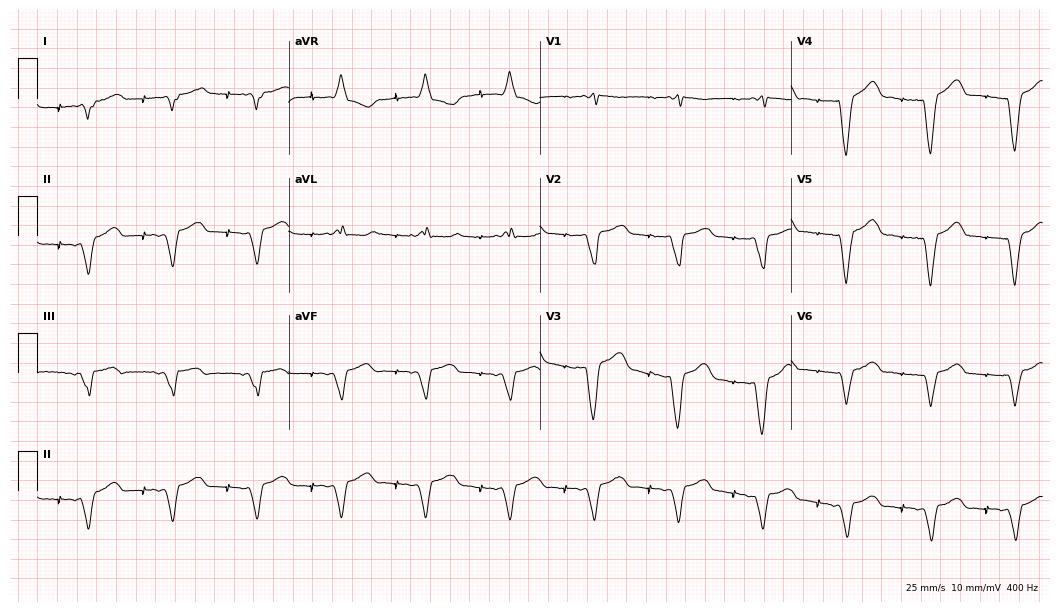
Standard 12-lead ECG recorded from a 78-year-old male patient (10.2-second recording at 400 Hz). None of these six findings is recorded: first-degree AV block, right bundle branch block, left bundle branch block, sinus bradycardia, atrial fibrillation, sinus tachycardia.